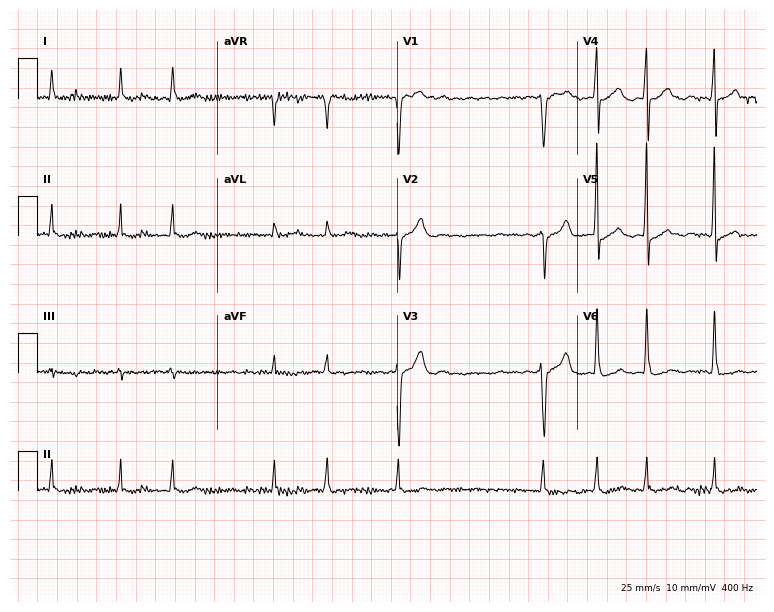
ECG — a 56-year-old man. Findings include atrial fibrillation.